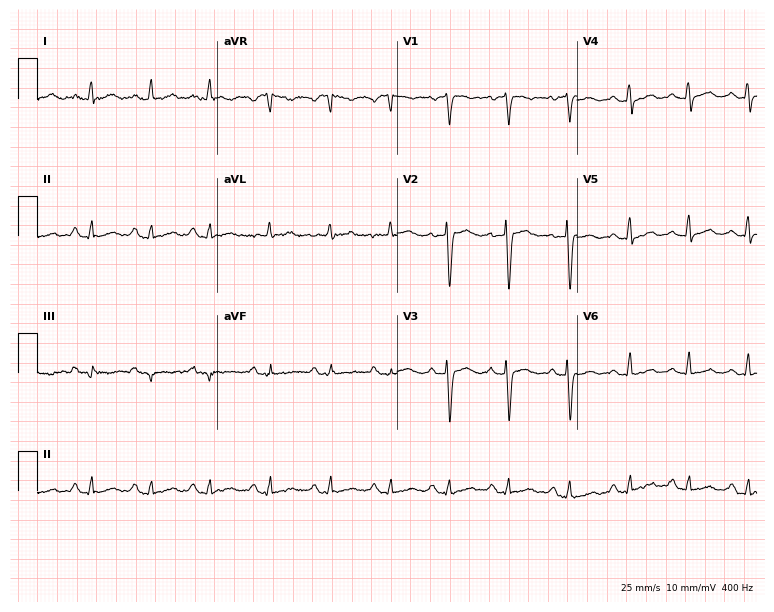
Resting 12-lead electrocardiogram. Patient: a female, 55 years old. Read as a normal ECG.